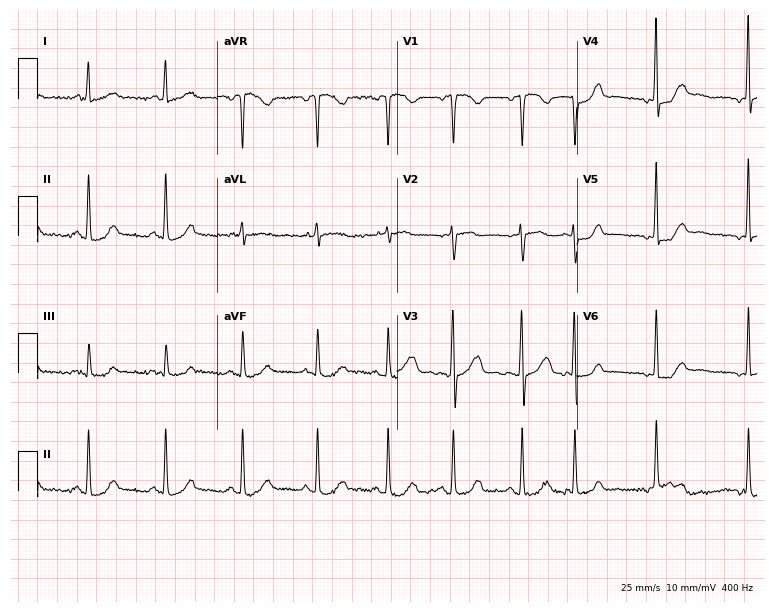
Electrocardiogram, a 39-year-old female patient. Of the six screened findings (first-degree AV block, right bundle branch block, left bundle branch block, sinus bradycardia, atrial fibrillation, sinus tachycardia), none is recorded. Findings outside these six are not listed.